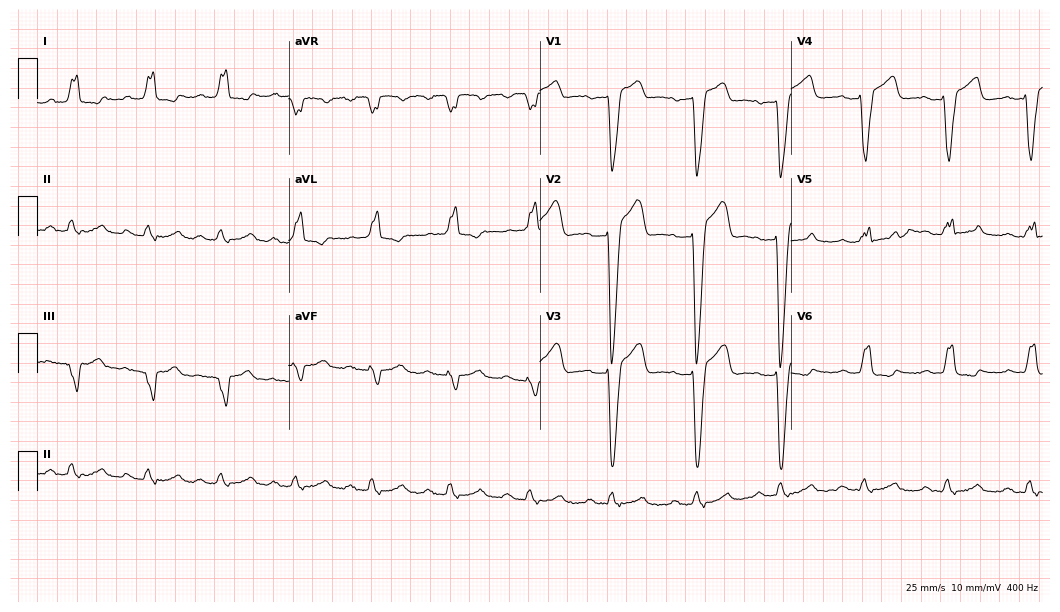
12-lead ECG from a 68-year-old male. Shows first-degree AV block, left bundle branch block.